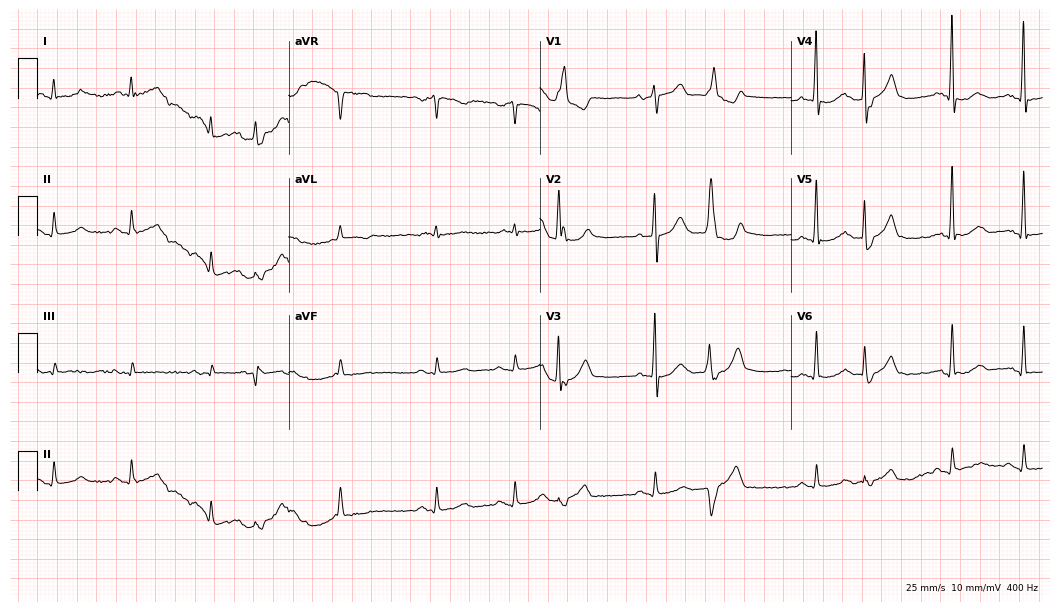
Electrocardiogram, a man, 84 years old. Of the six screened findings (first-degree AV block, right bundle branch block, left bundle branch block, sinus bradycardia, atrial fibrillation, sinus tachycardia), none is recorded. Findings outside these six are not listed.